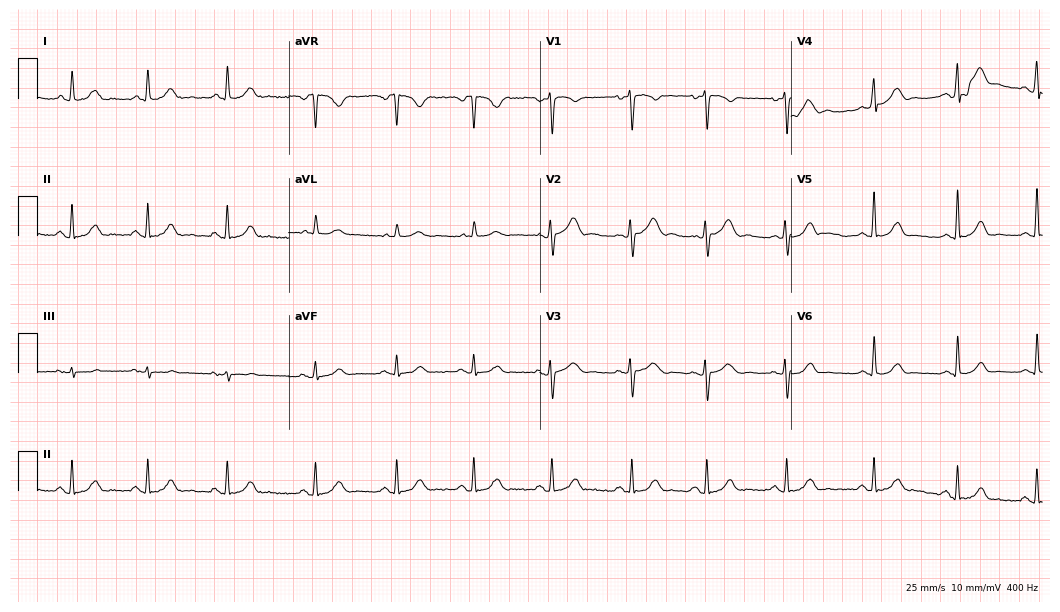
Resting 12-lead electrocardiogram. Patient: a female, 27 years old. Read as a normal ECG.